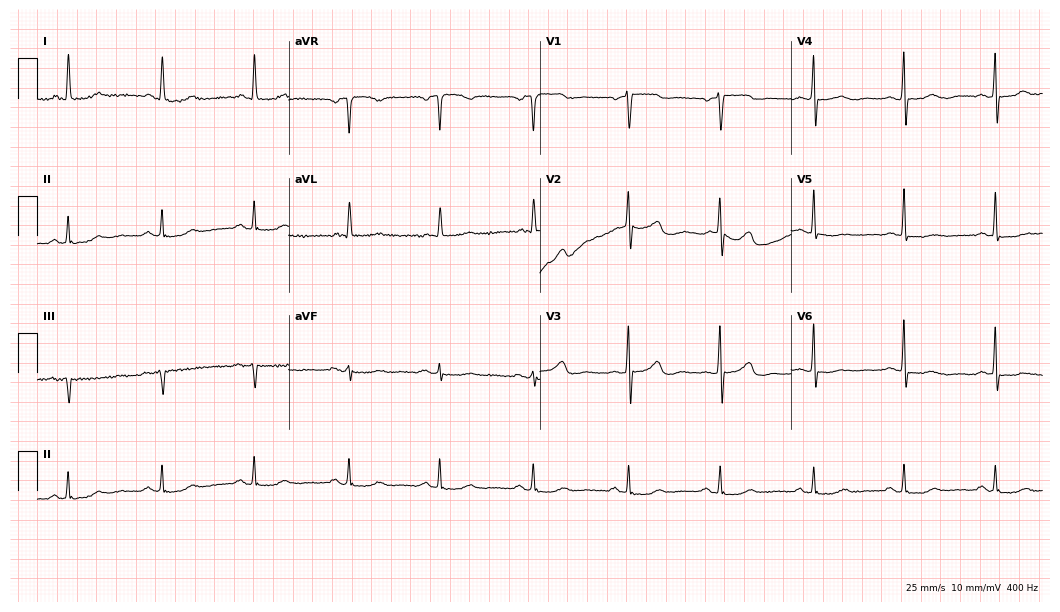
12-lead ECG from a woman, 74 years old. Screened for six findings — first-degree AV block, right bundle branch block (RBBB), left bundle branch block (LBBB), sinus bradycardia, atrial fibrillation (AF), sinus tachycardia — none is recorded. Only these six findings were labelled.